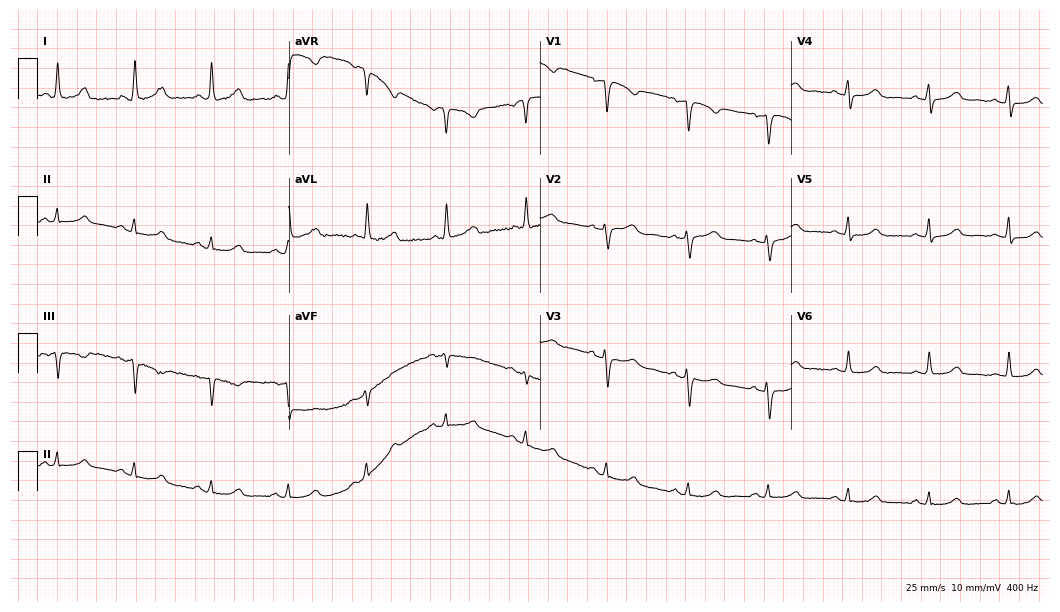
Electrocardiogram, a 56-year-old female patient. Of the six screened findings (first-degree AV block, right bundle branch block, left bundle branch block, sinus bradycardia, atrial fibrillation, sinus tachycardia), none is recorded. Other findings, if any, are not listed.